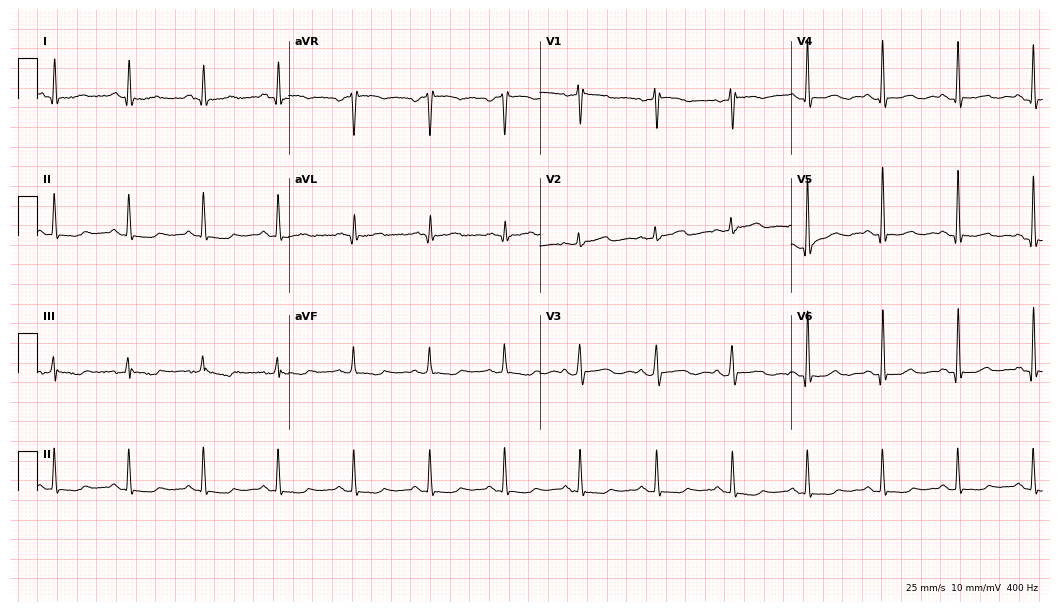
Resting 12-lead electrocardiogram. Patient: a 62-year-old female. None of these six findings is recorded: first-degree AV block, right bundle branch block (RBBB), left bundle branch block (LBBB), sinus bradycardia, atrial fibrillation (AF), sinus tachycardia. Findings outside these six are not listed.